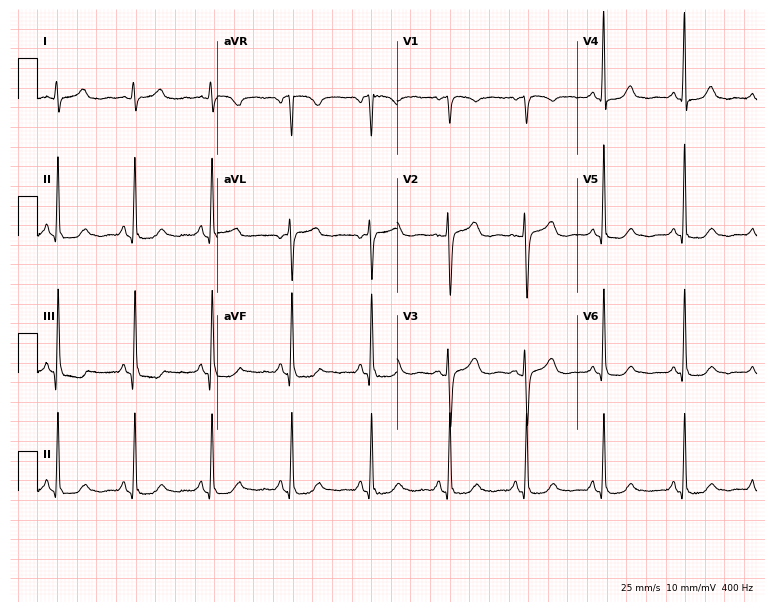
Resting 12-lead electrocardiogram. Patient: a 70-year-old woman. Read as a normal ECG.